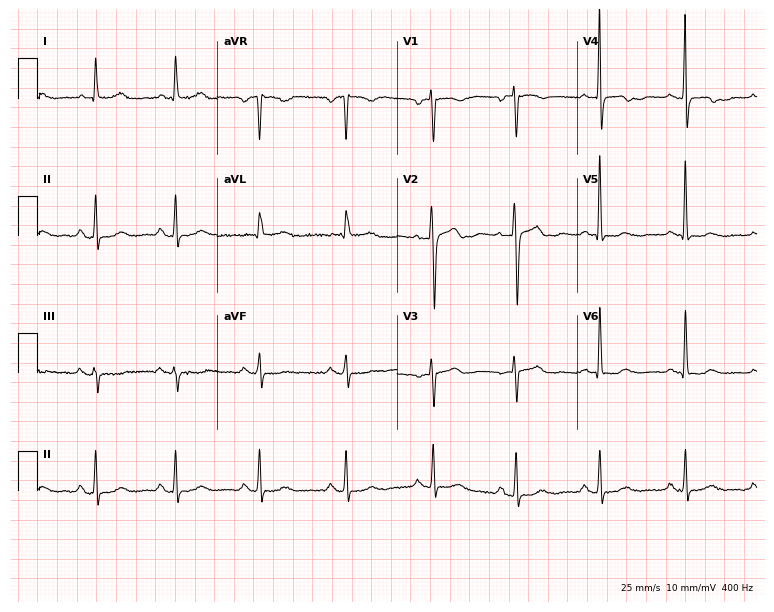
12-lead ECG from a 61-year-old woman (7.3-second recording at 400 Hz). Recorded interpretation: within normal limits.